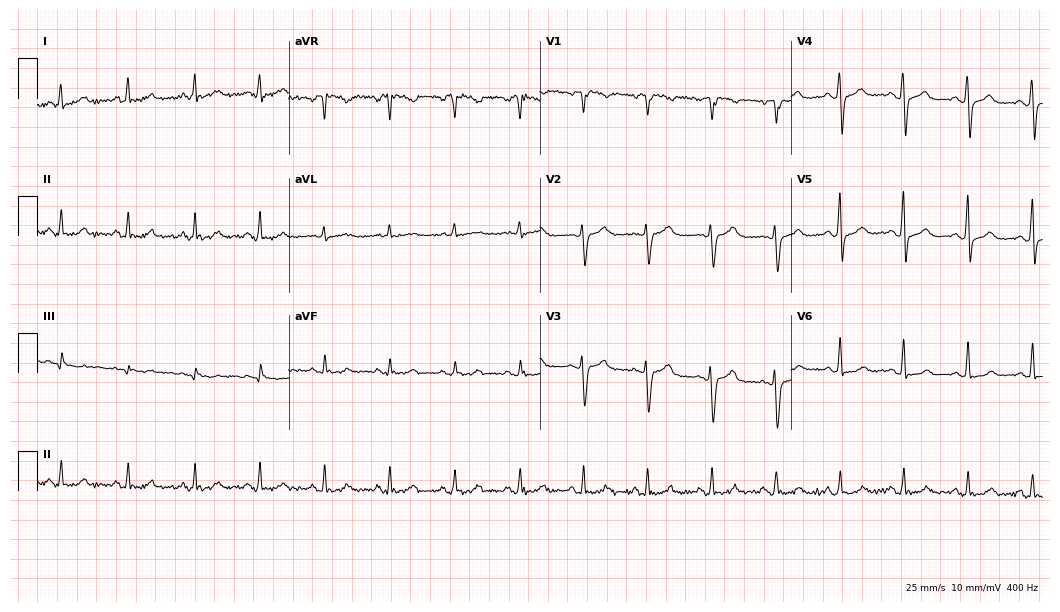
12-lead ECG (10.2-second recording at 400 Hz) from a woman, 51 years old. Labelled as a normal ECG.